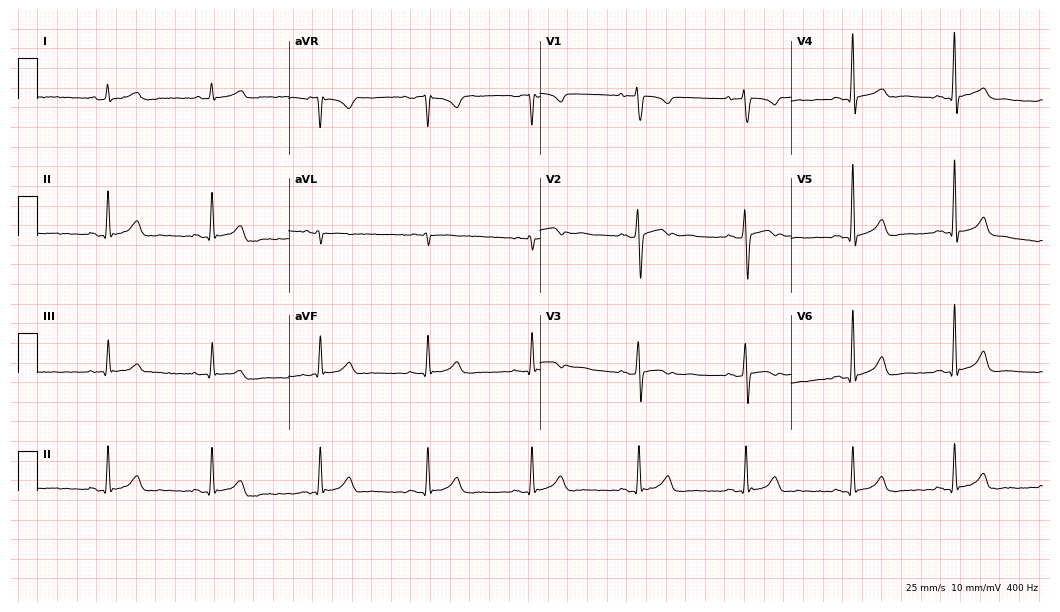
12-lead ECG from a male, 30 years old. Recorded interpretation: within normal limits.